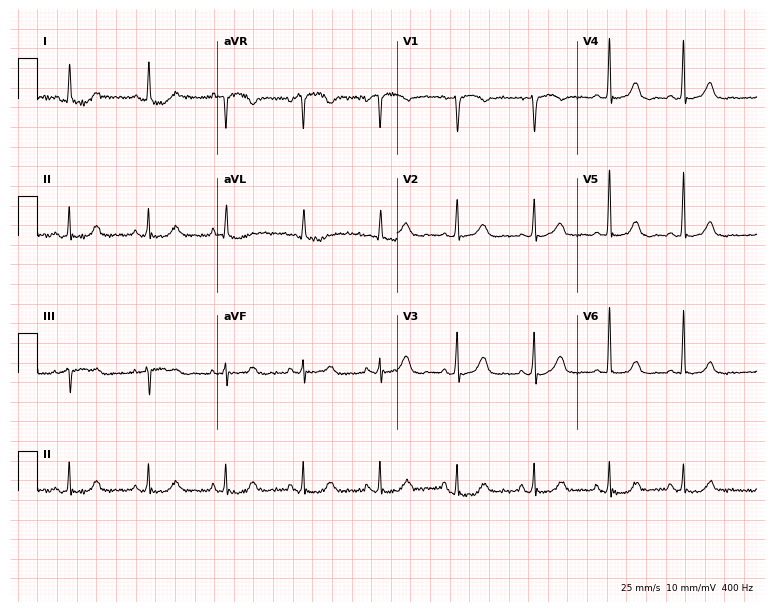
Electrocardiogram (7.3-second recording at 400 Hz), a female patient, 70 years old. Of the six screened findings (first-degree AV block, right bundle branch block, left bundle branch block, sinus bradycardia, atrial fibrillation, sinus tachycardia), none is recorded.